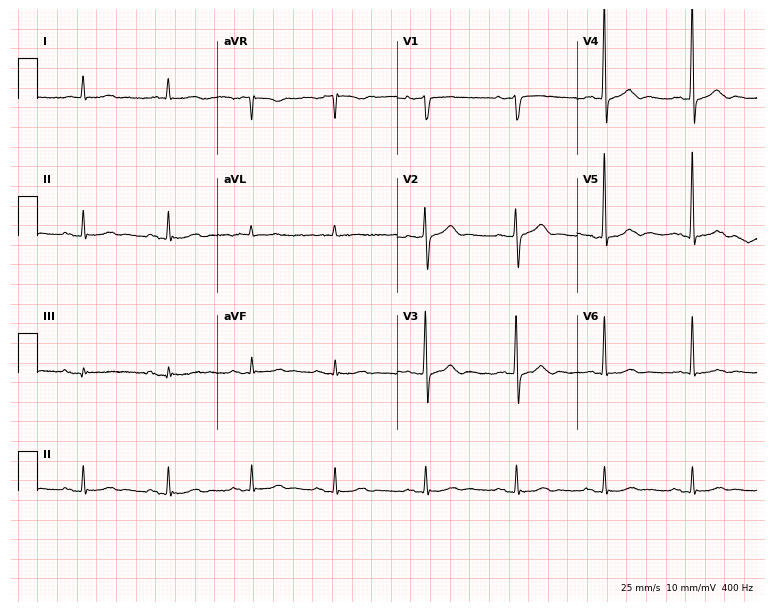
Resting 12-lead electrocardiogram. Patient: a male, 81 years old. None of these six findings is recorded: first-degree AV block, right bundle branch block, left bundle branch block, sinus bradycardia, atrial fibrillation, sinus tachycardia.